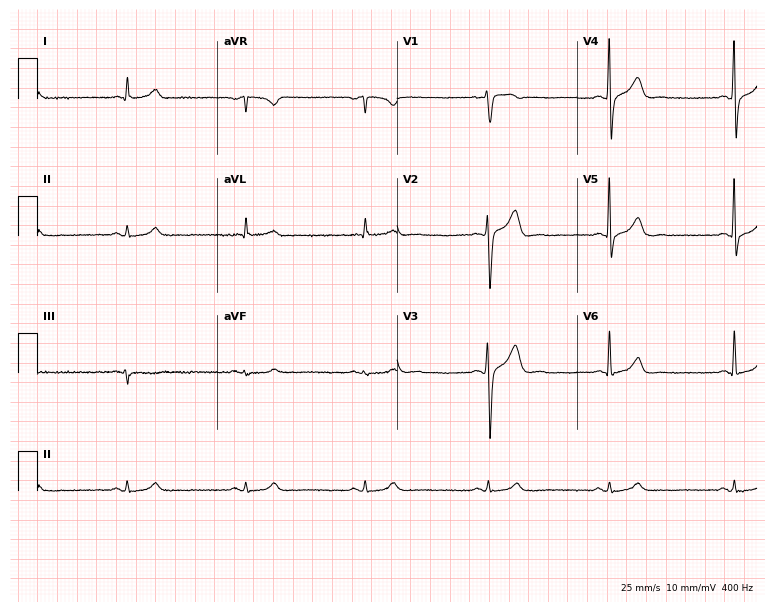
Resting 12-lead electrocardiogram. Patient: a male, 41 years old. None of these six findings is recorded: first-degree AV block, right bundle branch block, left bundle branch block, sinus bradycardia, atrial fibrillation, sinus tachycardia.